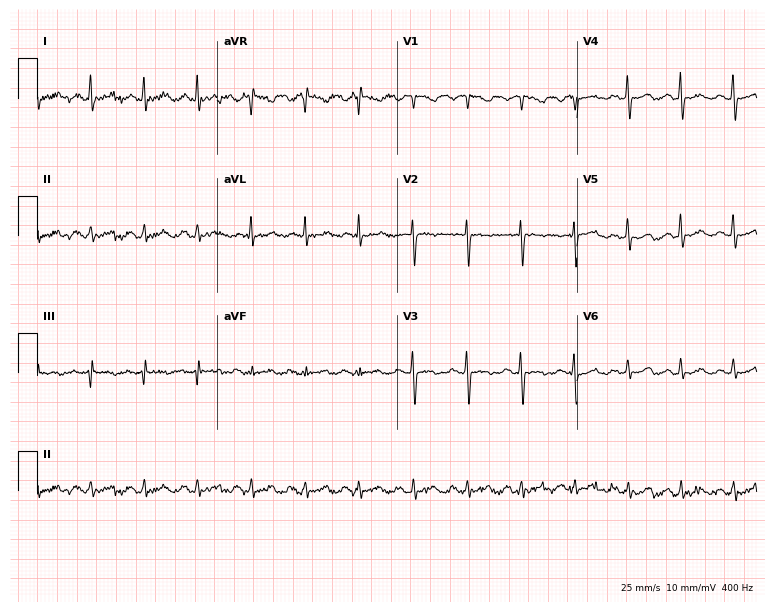
12-lead ECG (7.3-second recording at 400 Hz) from a female patient, 42 years old. Screened for six findings — first-degree AV block, right bundle branch block, left bundle branch block, sinus bradycardia, atrial fibrillation, sinus tachycardia — none is recorded.